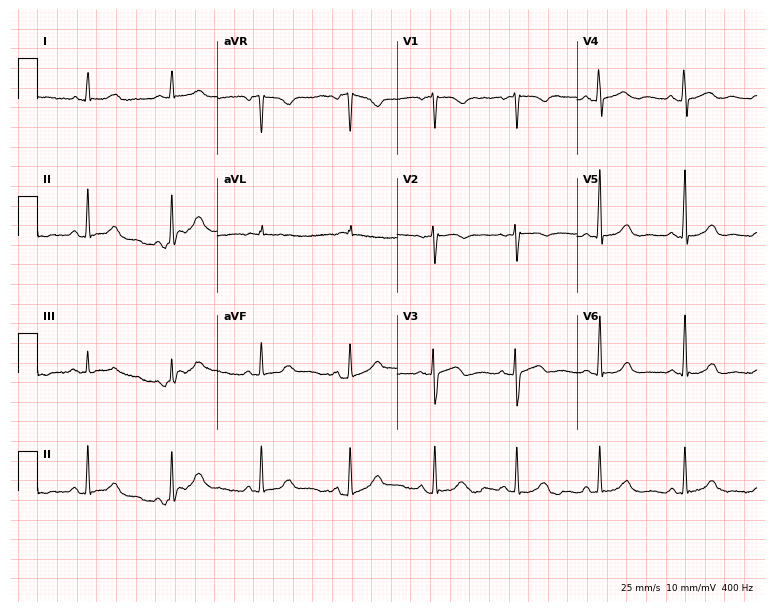
Resting 12-lead electrocardiogram (7.3-second recording at 400 Hz). Patient: a 52-year-old female. Read as a normal ECG.